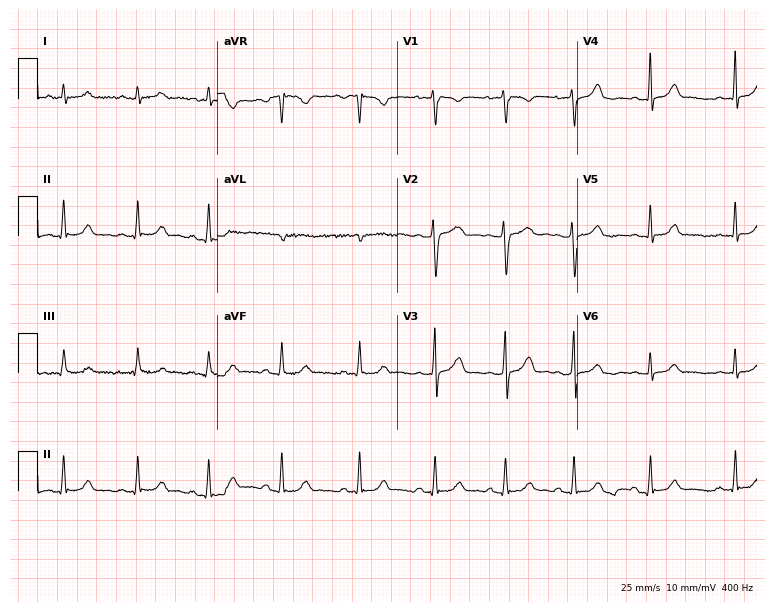
Resting 12-lead electrocardiogram (7.3-second recording at 400 Hz). Patient: a 21-year-old female. Read as a normal ECG.